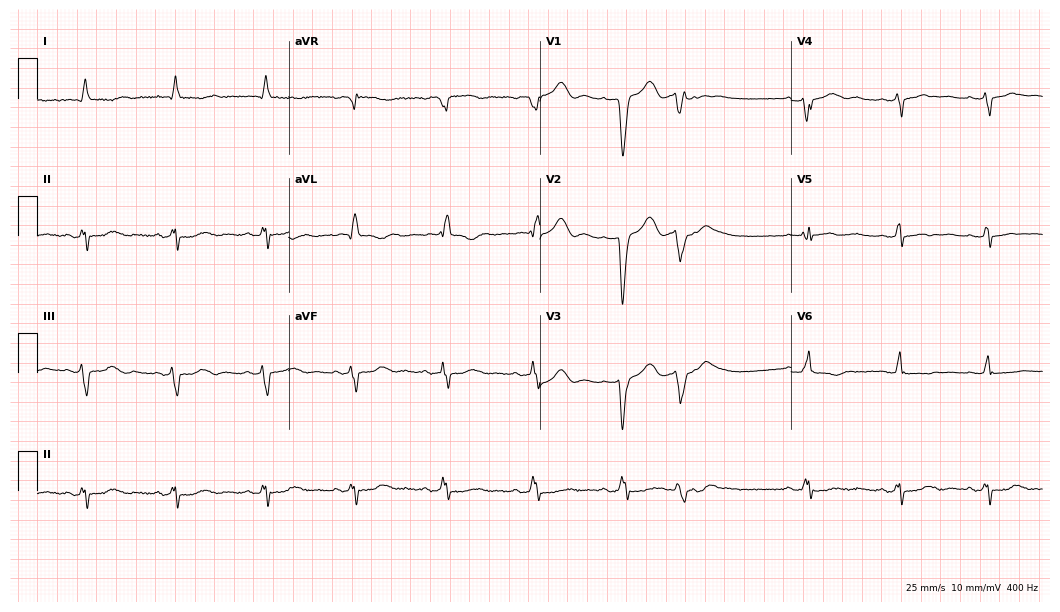
Electrocardiogram, a female, 83 years old. Of the six screened findings (first-degree AV block, right bundle branch block (RBBB), left bundle branch block (LBBB), sinus bradycardia, atrial fibrillation (AF), sinus tachycardia), none is recorded.